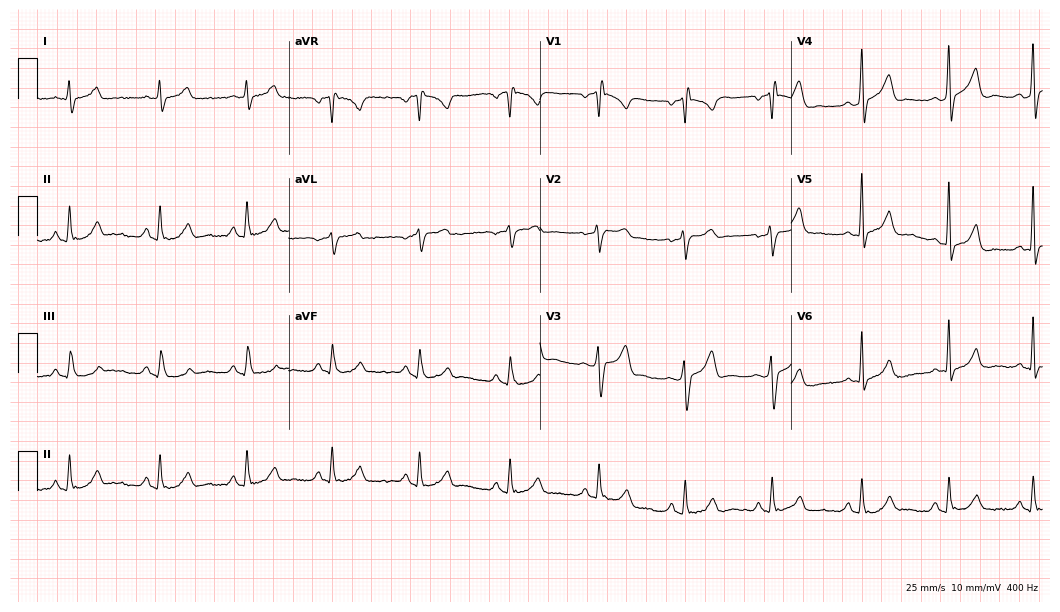
12-lead ECG (10.2-second recording at 400 Hz) from a man, 41 years old. Screened for six findings — first-degree AV block, right bundle branch block, left bundle branch block, sinus bradycardia, atrial fibrillation, sinus tachycardia — none is recorded.